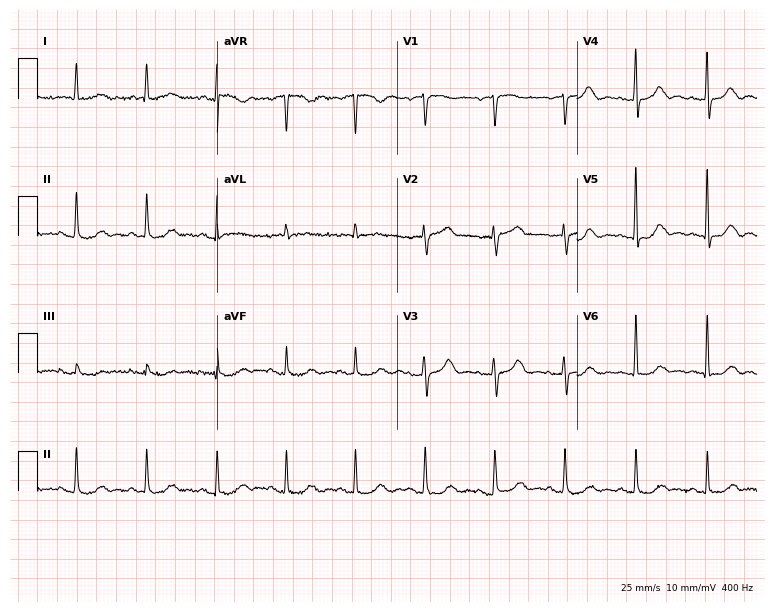
12-lead ECG from a female patient, 77 years old (7.3-second recording at 400 Hz). Recorded interpretation: within normal limits.